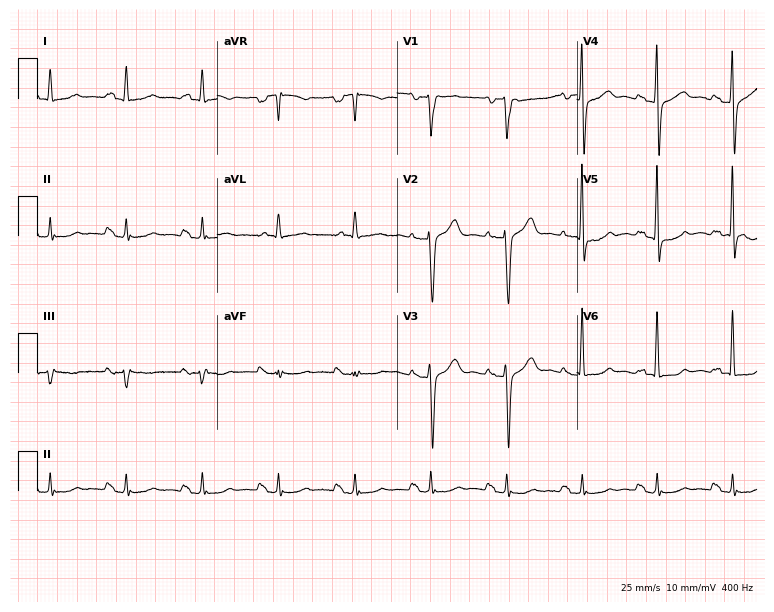
Resting 12-lead electrocardiogram. Patient: a 77-year-old man. None of these six findings is recorded: first-degree AV block, right bundle branch block, left bundle branch block, sinus bradycardia, atrial fibrillation, sinus tachycardia.